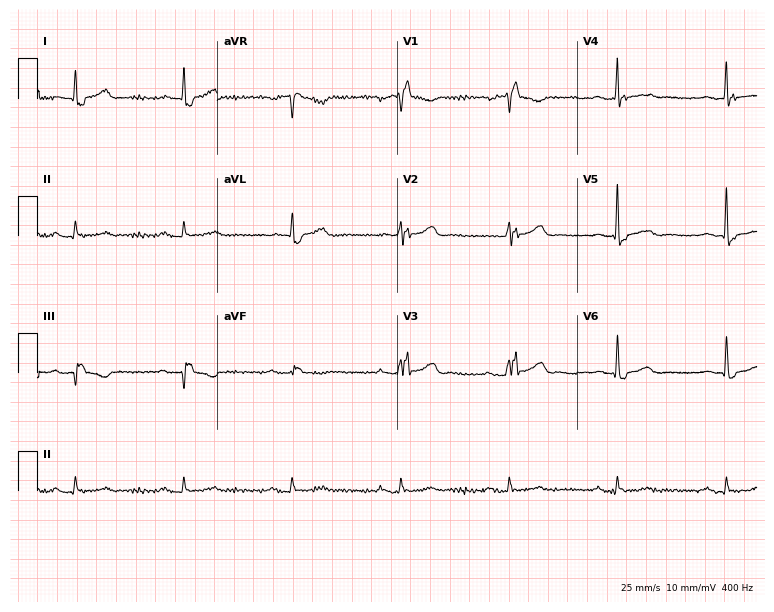
ECG (7.3-second recording at 400 Hz) — an 82-year-old man. Findings include right bundle branch block.